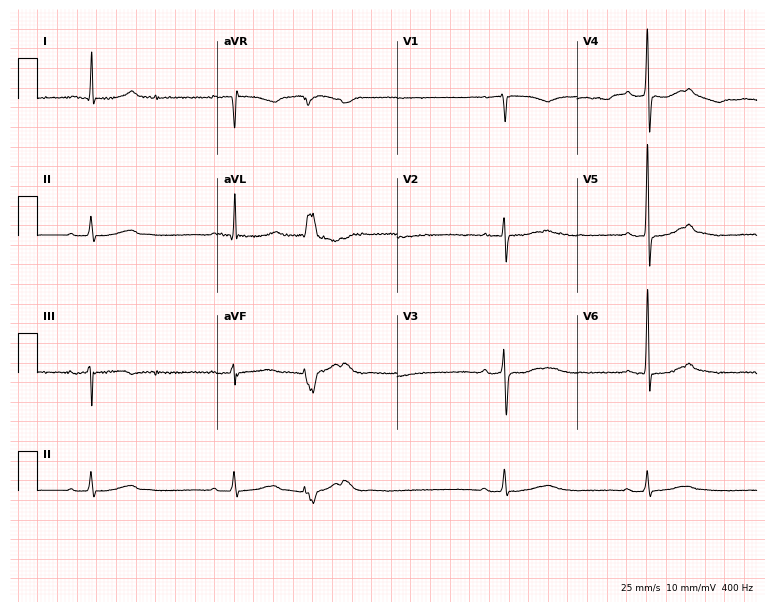
ECG (7.3-second recording at 400 Hz) — a 73-year-old male. Screened for six findings — first-degree AV block, right bundle branch block, left bundle branch block, sinus bradycardia, atrial fibrillation, sinus tachycardia — none is recorded.